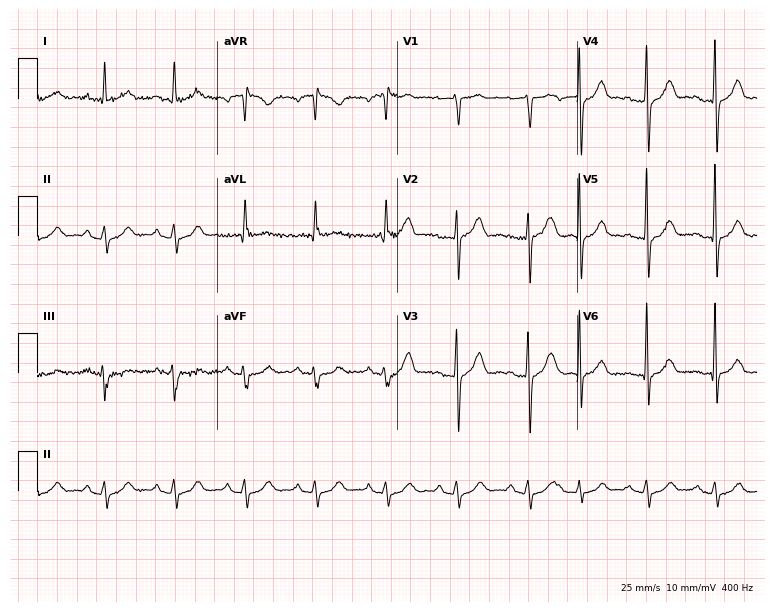
12-lead ECG from a male, 83 years old. Screened for six findings — first-degree AV block, right bundle branch block, left bundle branch block, sinus bradycardia, atrial fibrillation, sinus tachycardia — none is recorded.